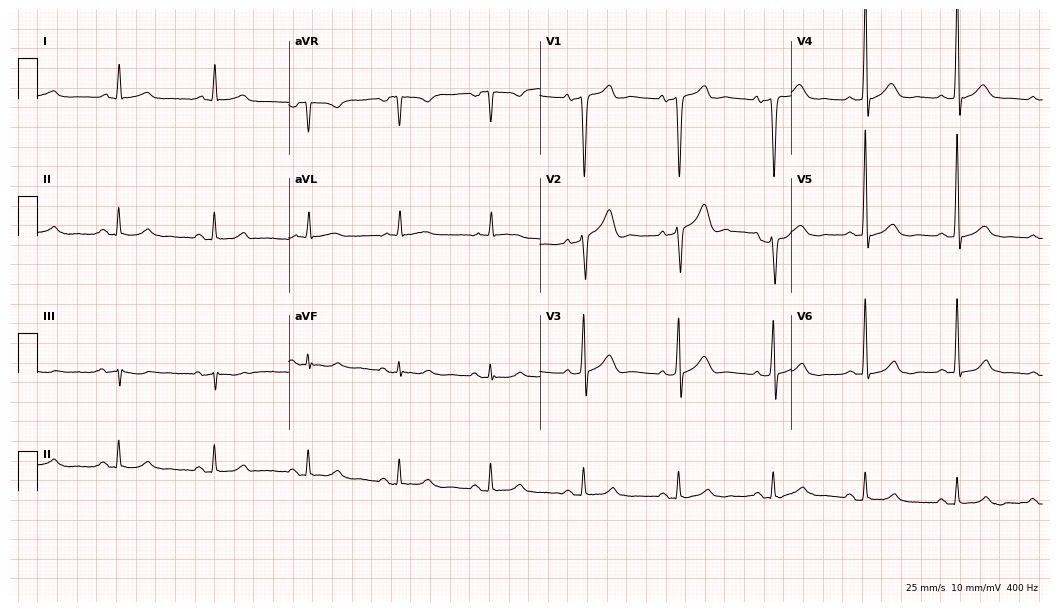
12-lead ECG from a male, 60 years old. Recorded interpretation: within normal limits.